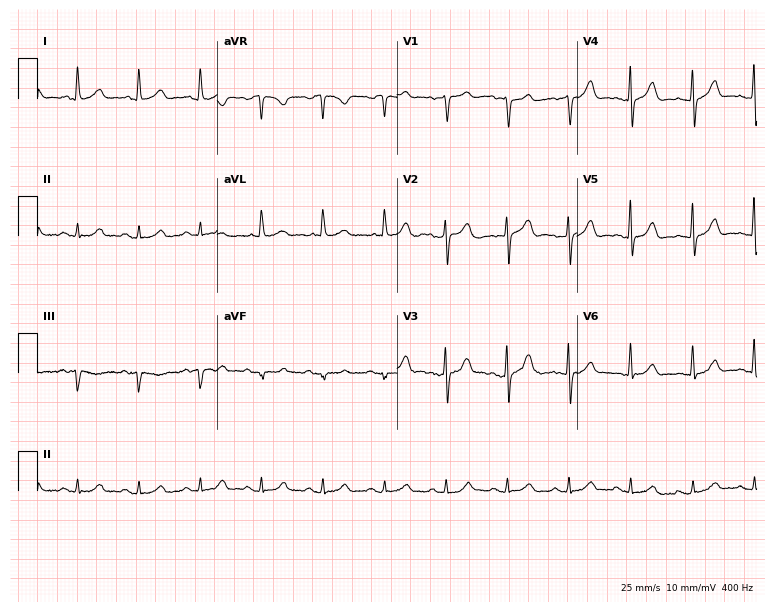
12-lead ECG from a woman, 75 years old. No first-degree AV block, right bundle branch block, left bundle branch block, sinus bradycardia, atrial fibrillation or sinus tachycardia recorded for this tracing. Only these six findings were labelled.